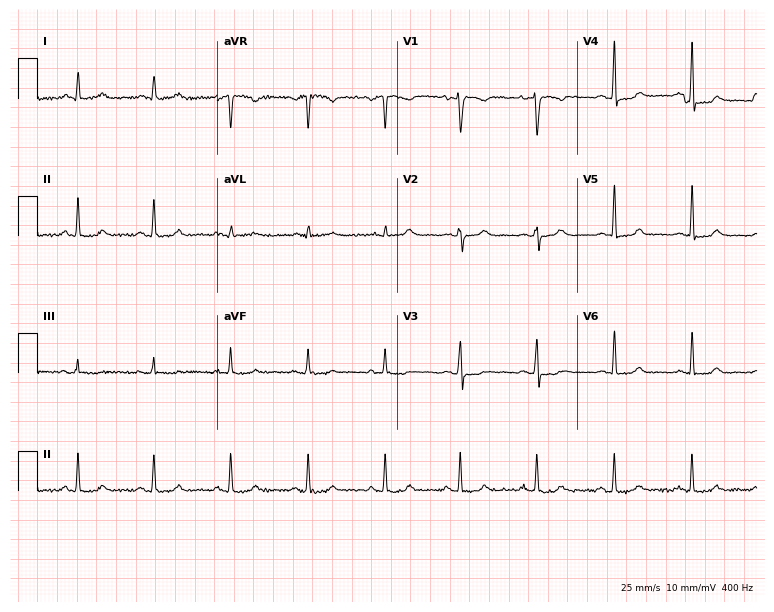
12-lead ECG (7.3-second recording at 400 Hz) from a 36-year-old female. Labelled as a normal ECG.